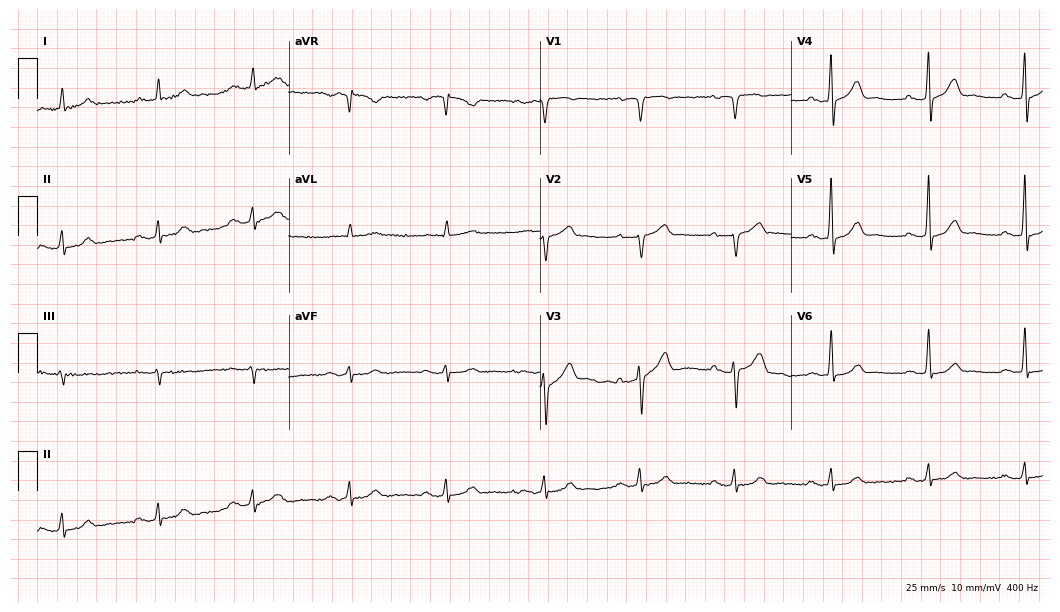
ECG (10.2-second recording at 400 Hz) — a male patient, 84 years old. Labelled as a normal ECG.